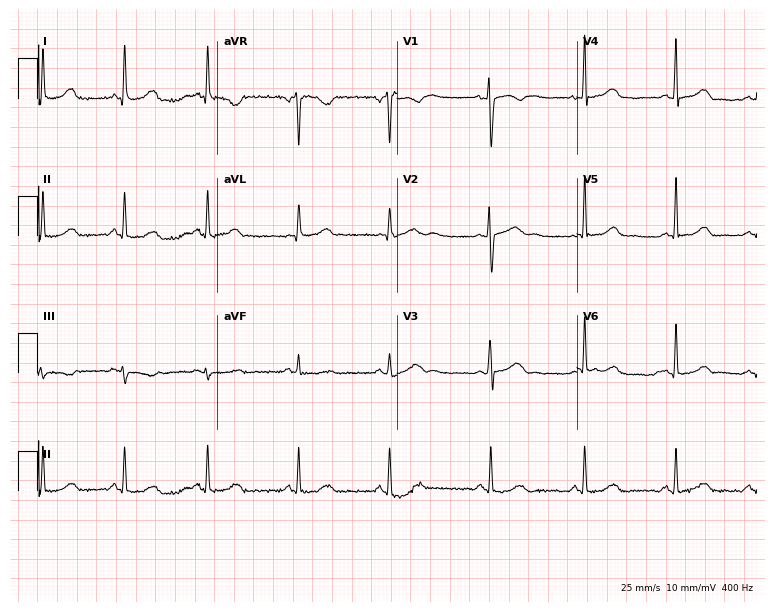
Resting 12-lead electrocardiogram (7.3-second recording at 400 Hz). Patient: a 31-year-old man. Read as a normal ECG.